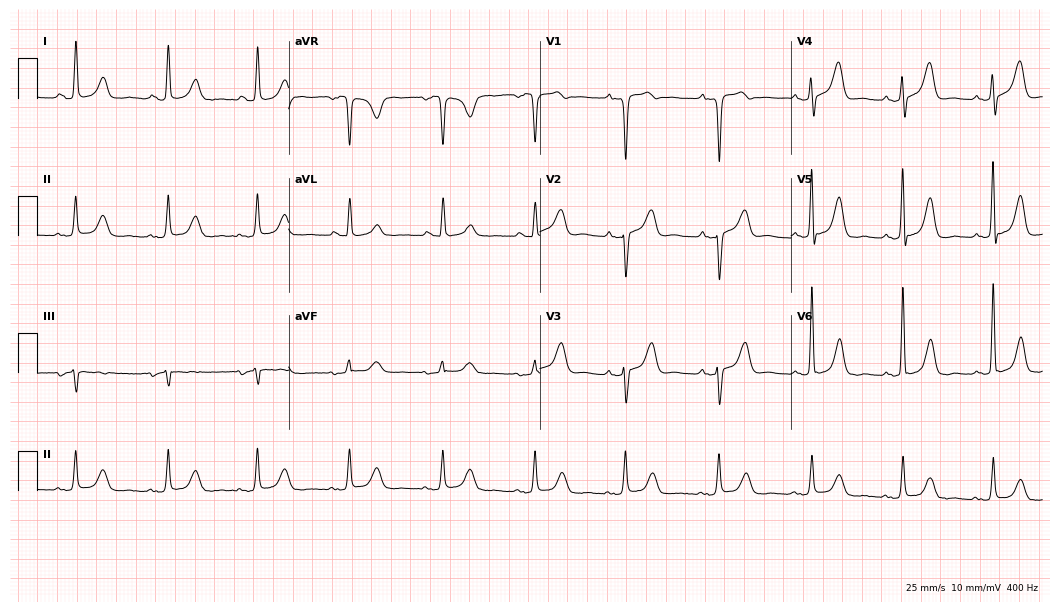
Standard 12-lead ECG recorded from a 53-year-old female patient (10.2-second recording at 400 Hz). Read as a normal ECG.